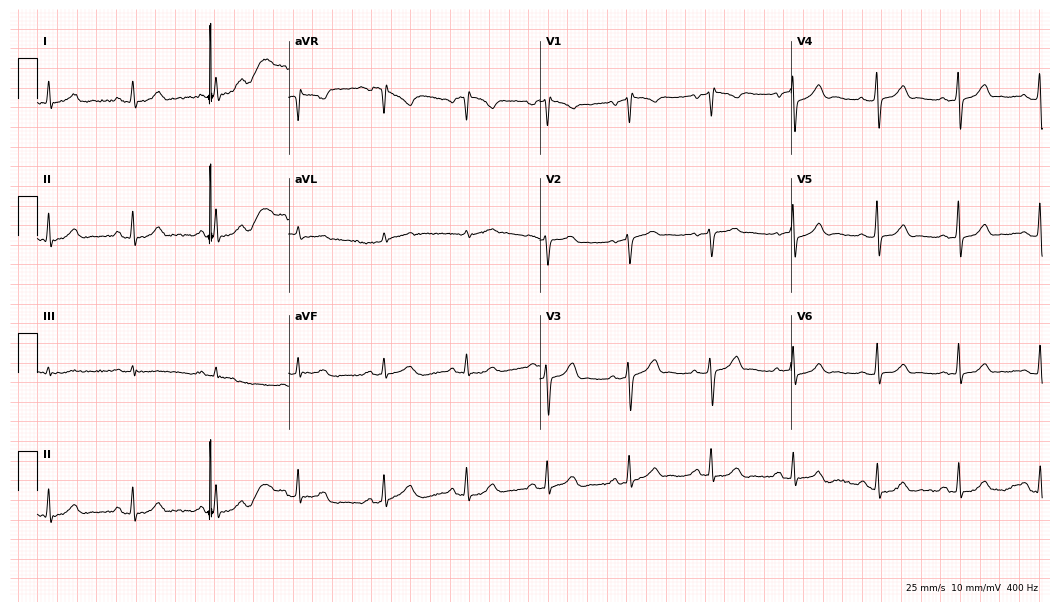
12-lead ECG from a 63-year-old man. Screened for six findings — first-degree AV block, right bundle branch block (RBBB), left bundle branch block (LBBB), sinus bradycardia, atrial fibrillation (AF), sinus tachycardia — none is recorded. Other findings, if any, are not listed.